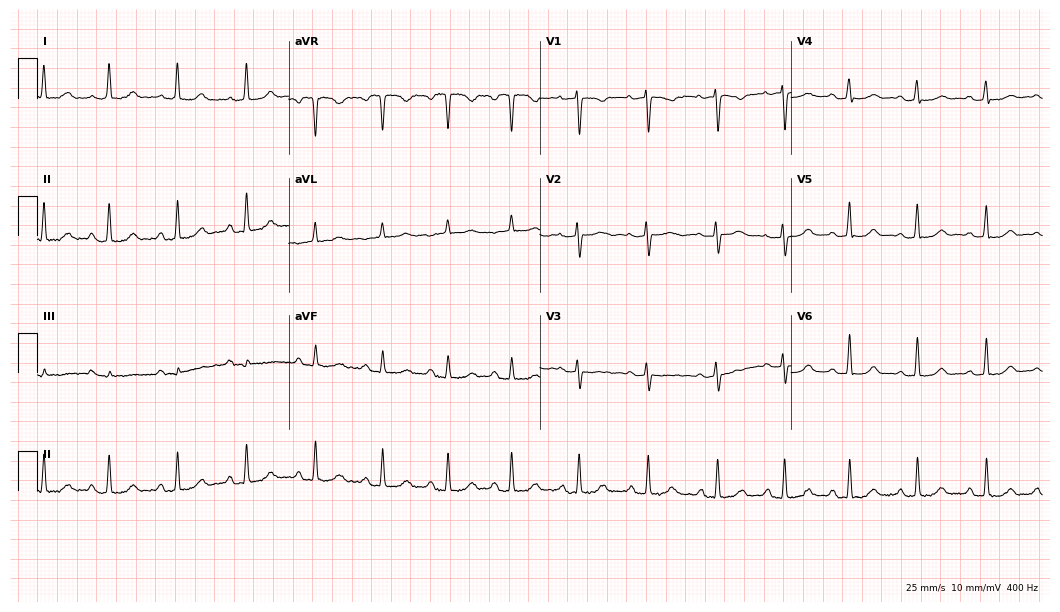
Resting 12-lead electrocardiogram (10.2-second recording at 400 Hz). Patient: a 46-year-old female. None of these six findings is recorded: first-degree AV block, right bundle branch block, left bundle branch block, sinus bradycardia, atrial fibrillation, sinus tachycardia.